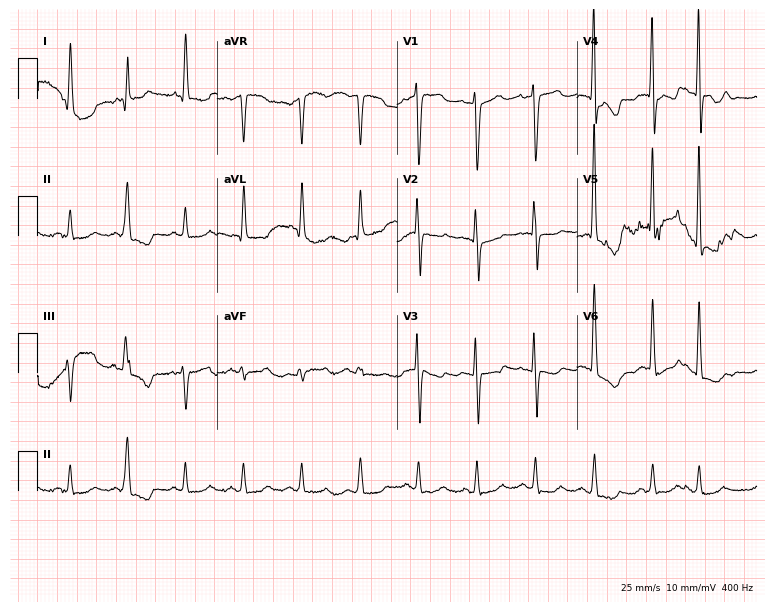
12-lead ECG (7.3-second recording at 400 Hz) from a woman, 85 years old. Screened for six findings — first-degree AV block, right bundle branch block, left bundle branch block, sinus bradycardia, atrial fibrillation, sinus tachycardia — none is recorded. Other findings, if any, are not listed.